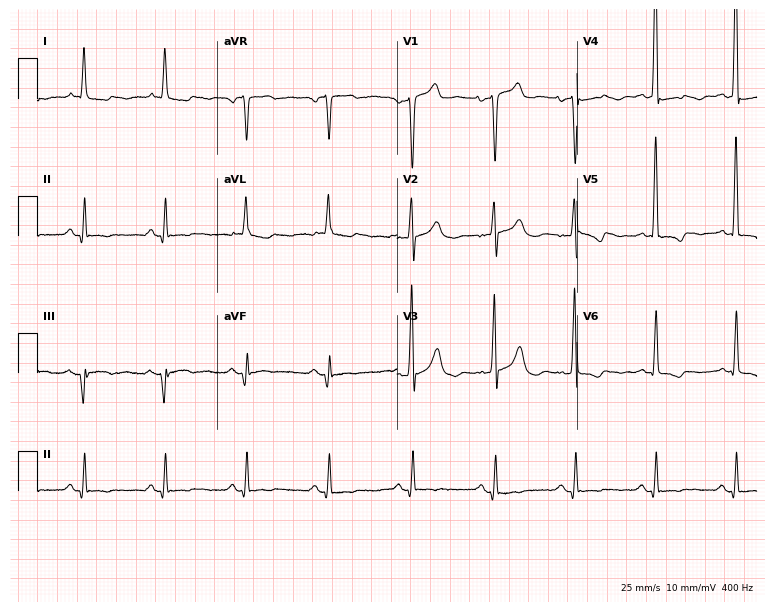
Standard 12-lead ECG recorded from a 60-year-old man (7.3-second recording at 400 Hz). None of these six findings is recorded: first-degree AV block, right bundle branch block, left bundle branch block, sinus bradycardia, atrial fibrillation, sinus tachycardia. Other findings, if any, are not listed.